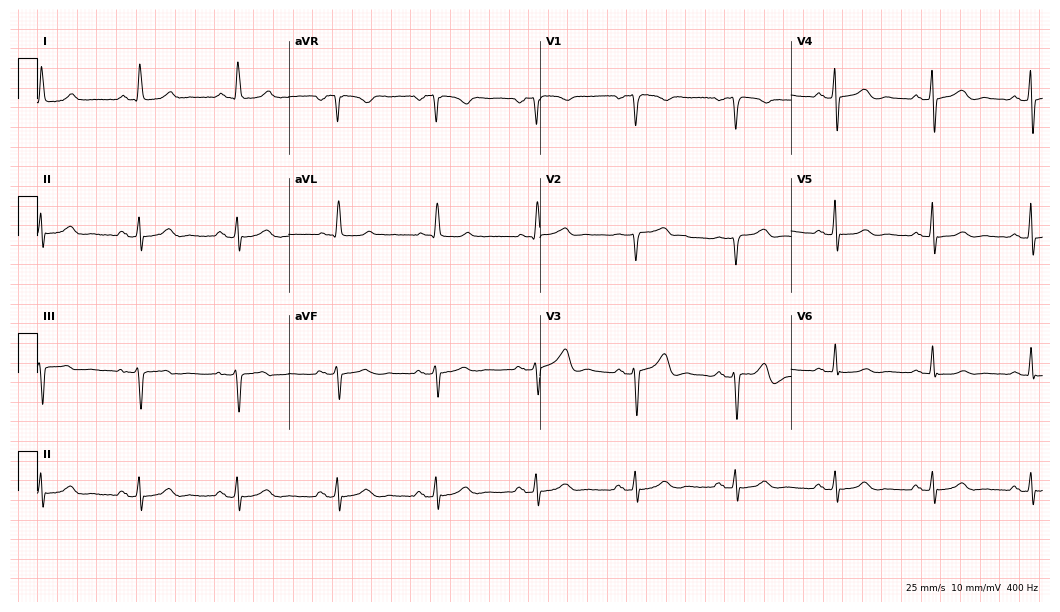
Standard 12-lead ECG recorded from a 49-year-old female (10.2-second recording at 400 Hz). Read as a normal ECG.